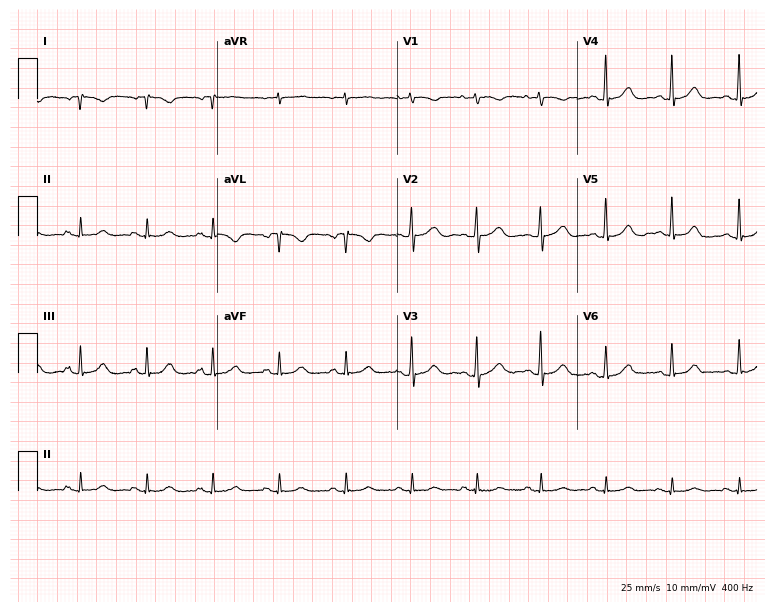
ECG (7.3-second recording at 400 Hz) — a 66-year-old woman. Screened for six findings — first-degree AV block, right bundle branch block (RBBB), left bundle branch block (LBBB), sinus bradycardia, atrial fibrillation (AF), sinus tachycardia — none is recorded.